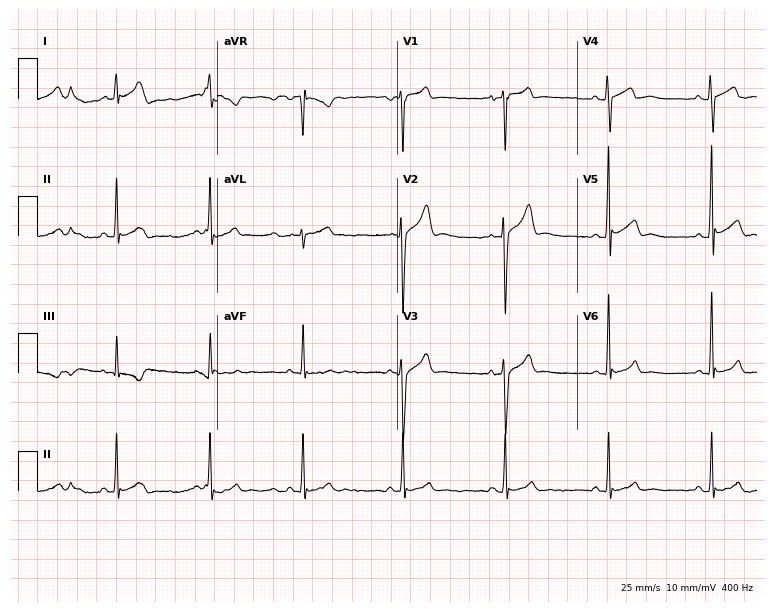
12-lead ECG from a man, 18 years old (7.3-second recording at 400 Hz). Recorded interpretation: within normal limits.